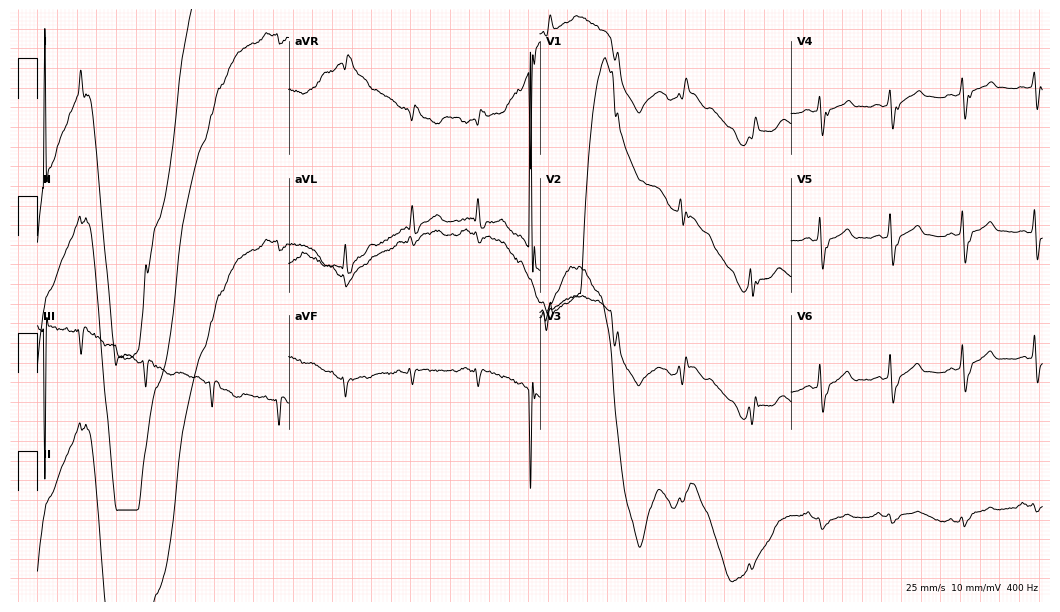
ECG — a male patient, 73 years old. Findings include right bundle branch block (RBBB).